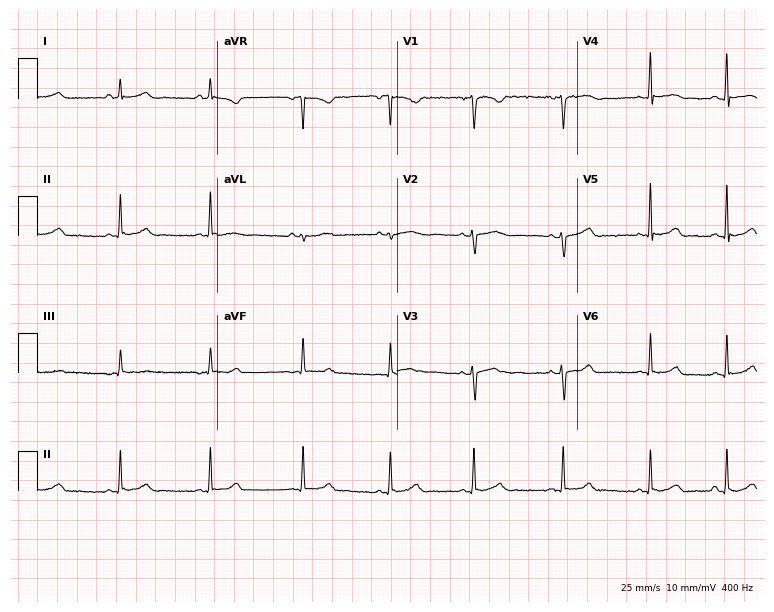
Standard 12-lead ECG recorded from a 20-year-old woman (7.3-second recording at 400 Hz). Read as a normal ECG.